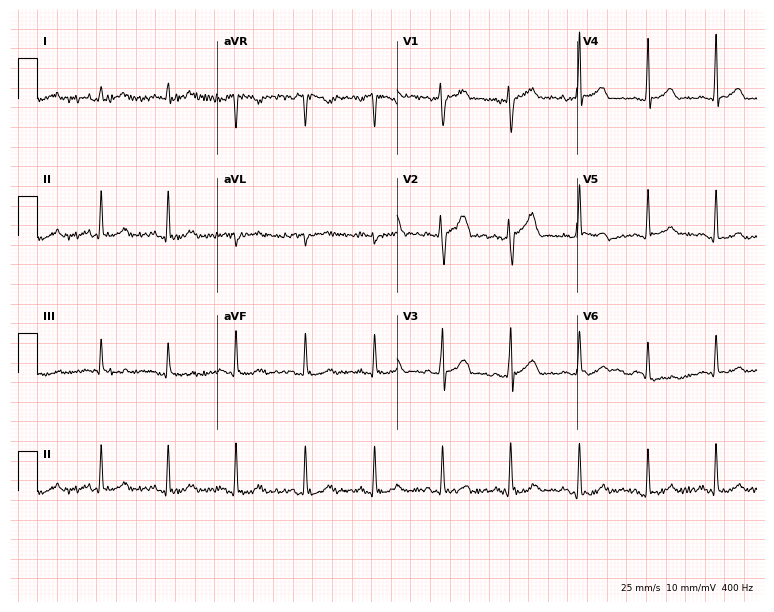
12-lead ECG from a male patient, 44 years old (7.3-second recording at 400 Hz). Recorded interpretation: within normal limits.